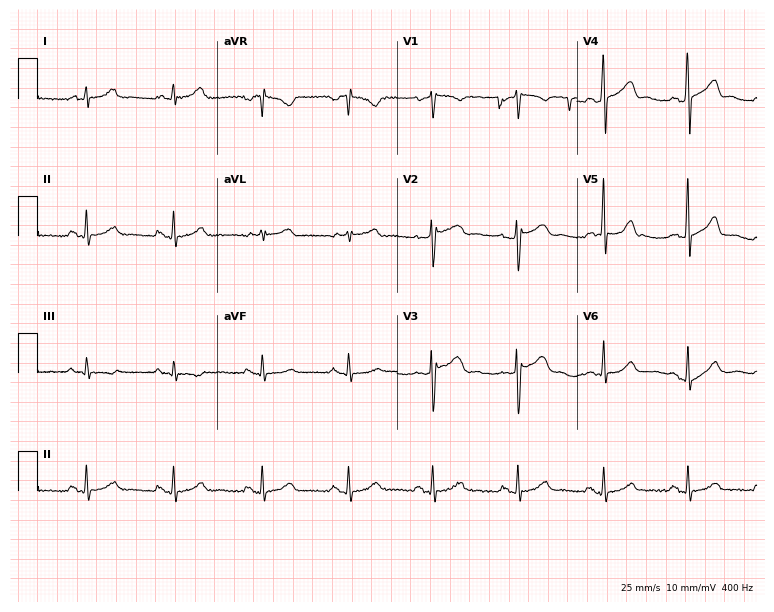
12-lead ECG from a 58-year-old man (7.3-second recording at 400 Hz). No first-degree AV block, right bundle branch block, left bundle branch block, sinus bradycardia, atrial fibrillation or sinus tachycardia recorded for this tracing. Only these six findings were labelled.